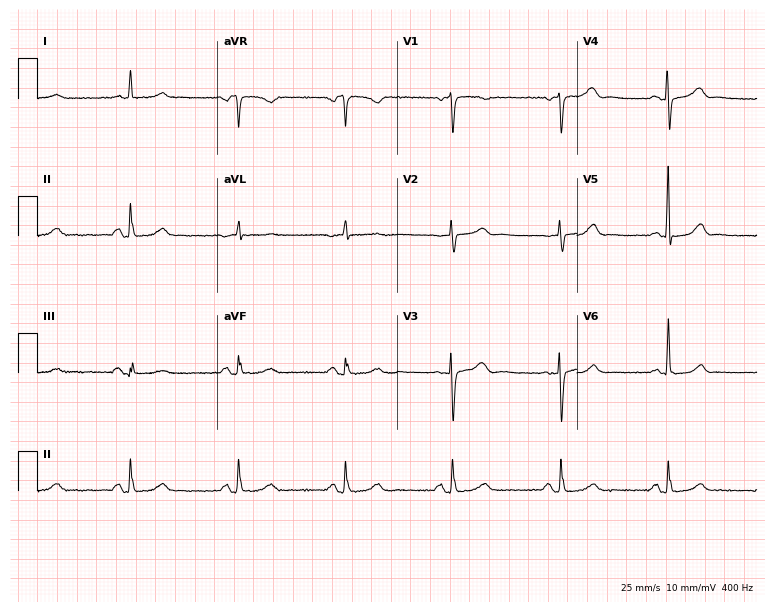
ECG — a woman, 77 years old. Labelled as a normal ECG.